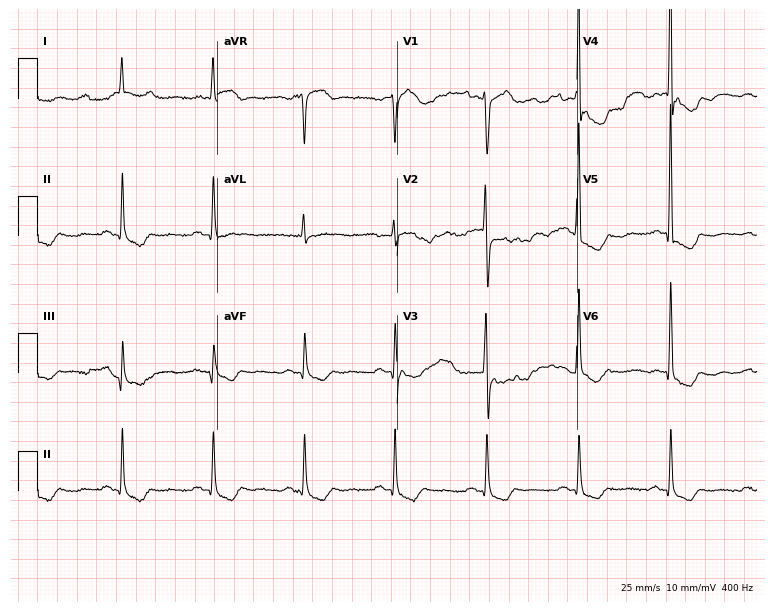
ECG — an 82-year-old male. Screened for six findings — first-degree AV block, right bundle branch block, left bundle branch block, sinus bradycardia, atrial fibrillation, sinus tachycardia — none is recorded.